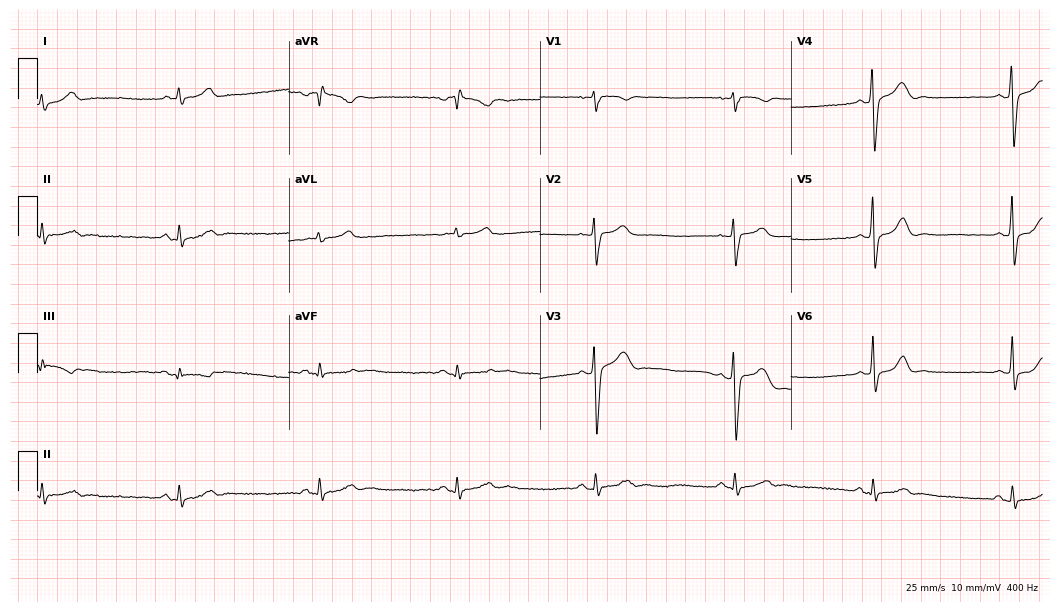
Resting 12-lead electrocardiogram. Patient: a man, 47 years old. The tracing shows sinus bradycardia (a sinus rate of 50 beats per minute or less).